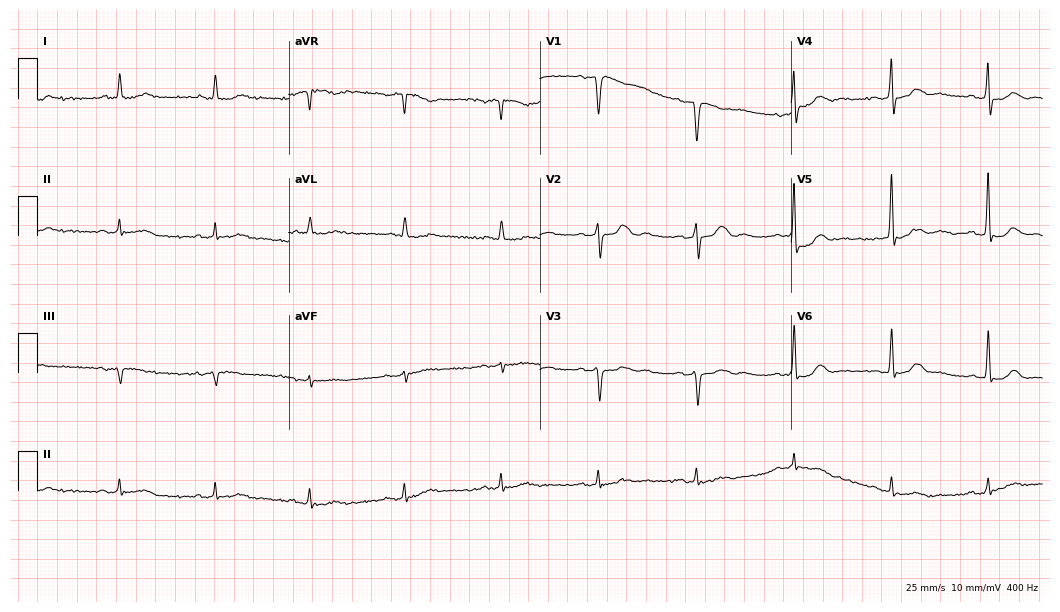
Electrocardiogram (10.2-second recording at 400 Hz), a man, 81 years old. Overall reading on record: normal ECG.